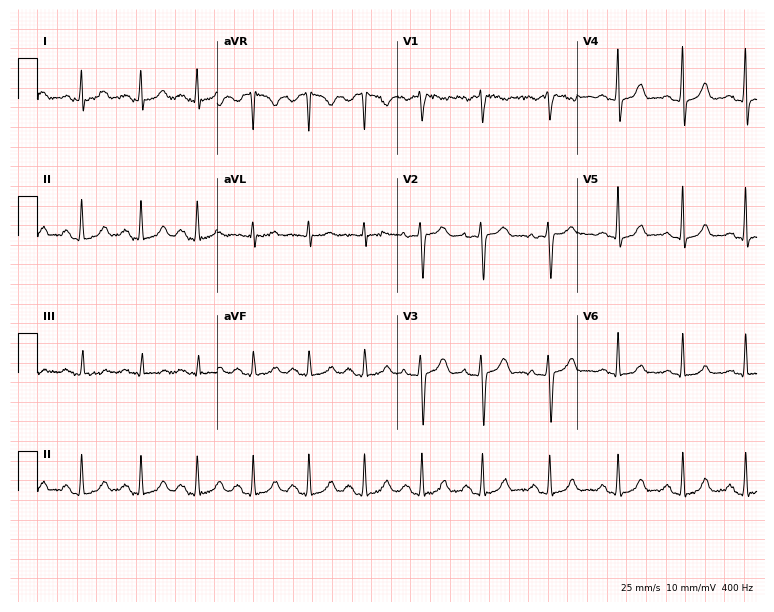
Resting 12-lead electrocardiogram (7.3-second recording at 400 Hz). Patient: a female, 26 years old. Read as a normal ECG.